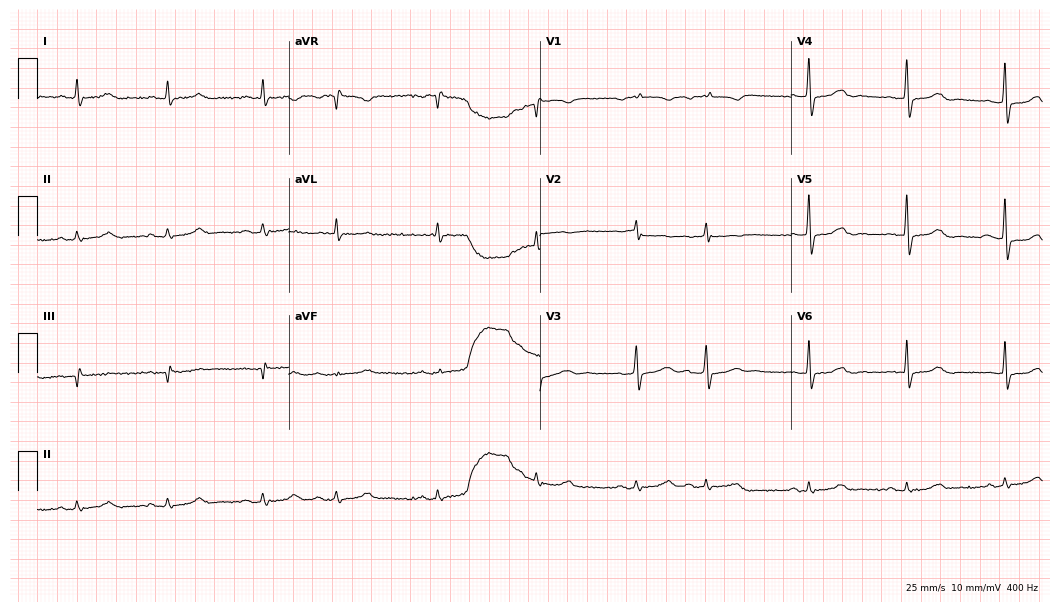
Standard 12-lead ECG recorded from a 78-year-old man. None of these six findings is recorded: first-degree AV block, right bundle branch block (RBBB), left bundle branch block (LBBB), sinus bradycardia, atrial fibrillation (AF), sinus tachycardia.